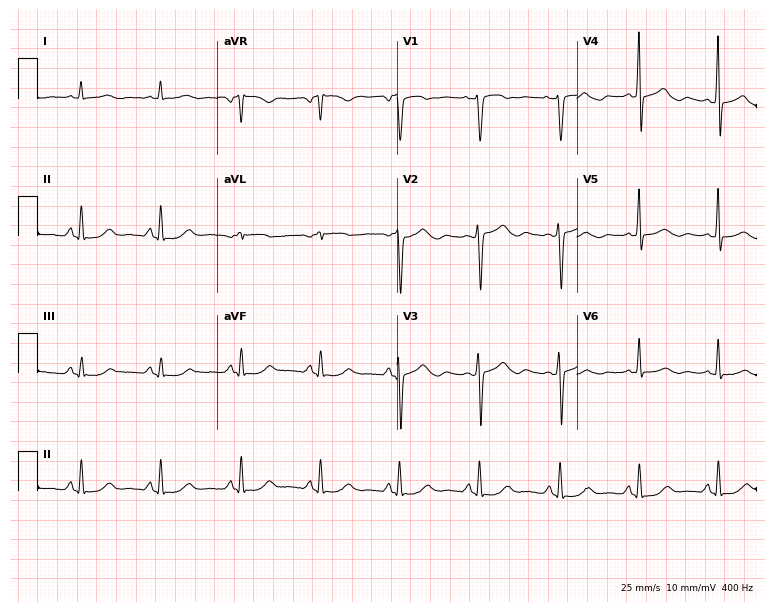
12-lead ECG from a 74-year-old female patient (7.3-second recording at 400 Hz). No first-degree AV block, right bundle branch block, left bundle branch block, sinus bradycardia, atrial fibrillation or sinus tachycardia recorded for this tracing. Only these six findings were labelled.